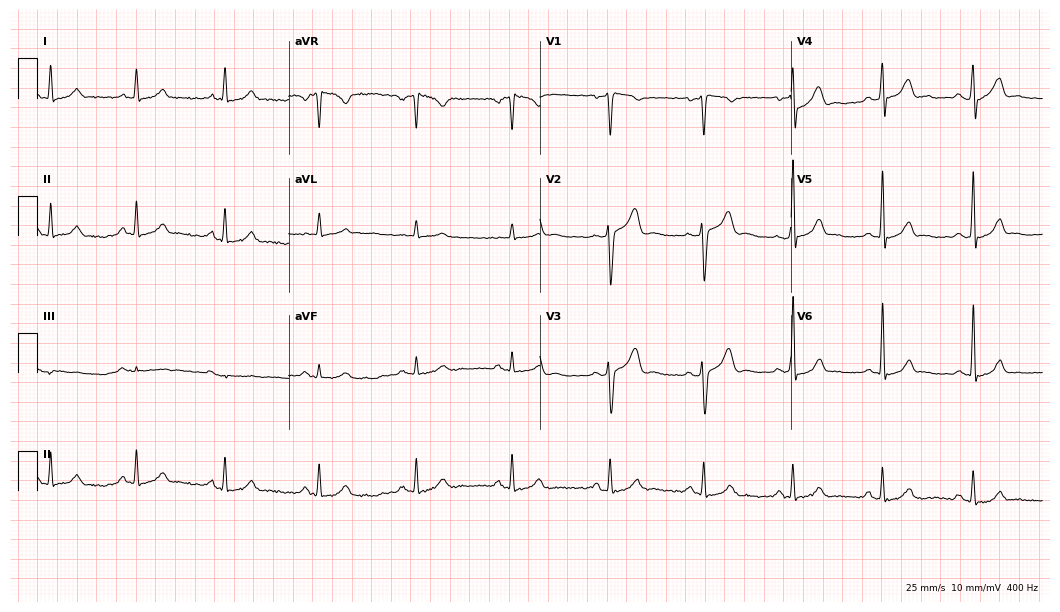
12-lead ECG from a 35-year-old male (10.2-second recording at 400 Hz). Recorded interpretation: within normal limits.